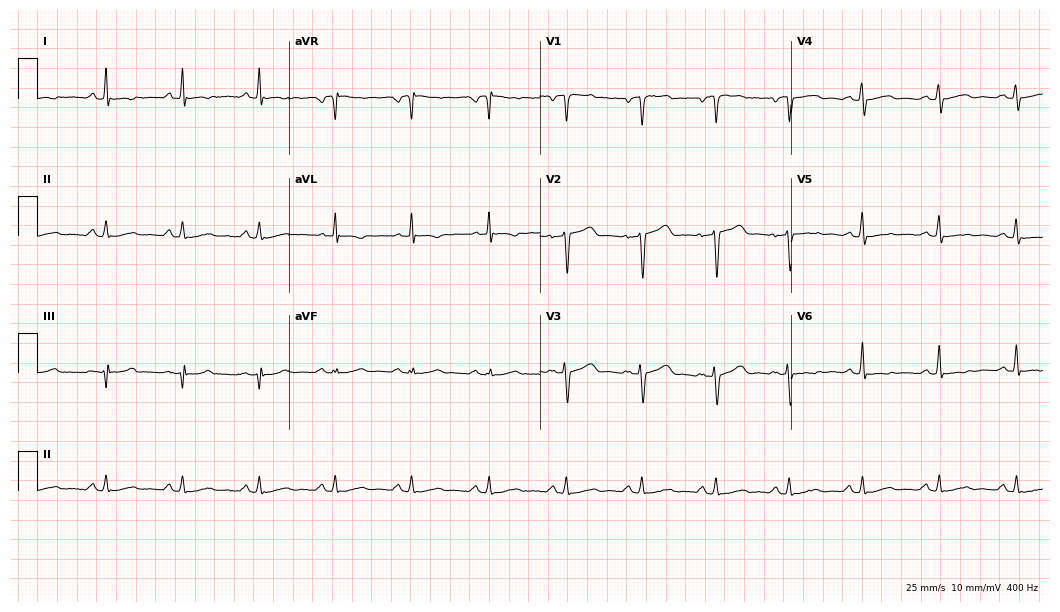
Resting 12-lead electrocardiogram. Patient: a 49-year-old man. None of these six findings is recorded: first-degree AV block, right bundle branch block, left bundle branch block, sinus bradycardia, atrial fibrillation, sinus tachycardia. Findings outside these six are not listed.